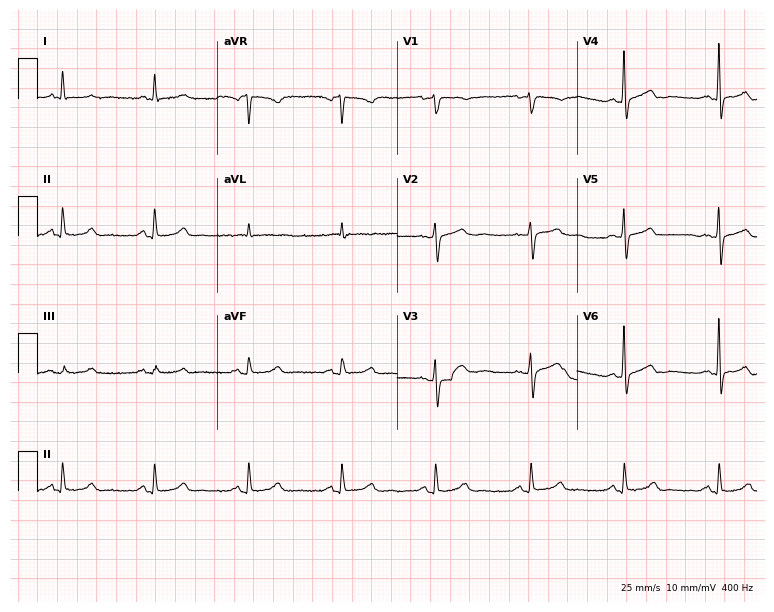
Standard 12-lead ECG recorded from a female, 81 years old (7.3-second recording at 400 Hz). None of these six findings is recorded: first-degree AV block, right bundle branch block, left bundle branch block, sinus bradycardia, atrial fibrillation, sinus tachycardia.